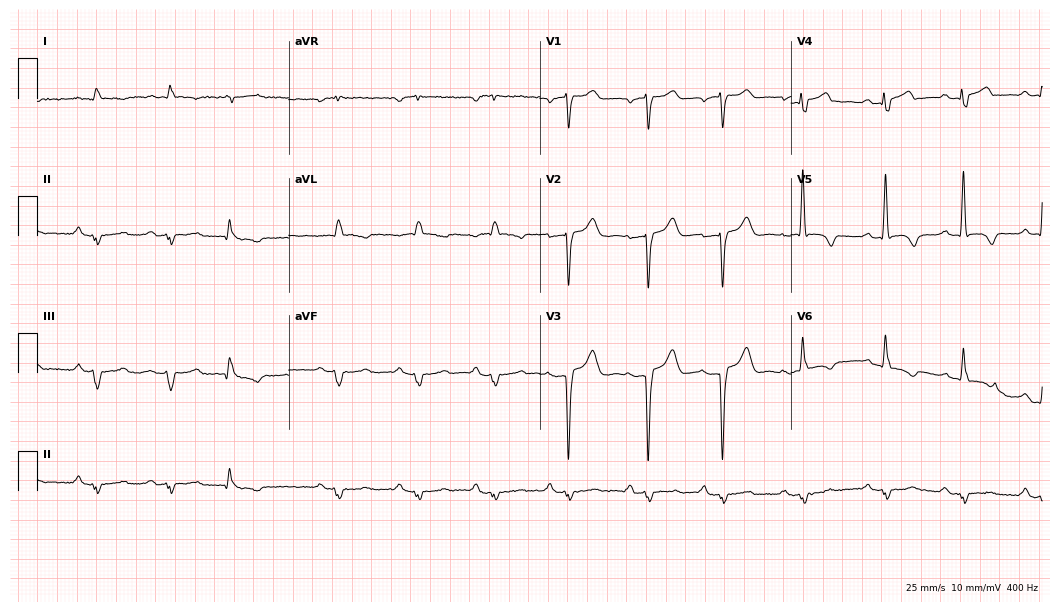
ECG (10.2-second recording at 400 Hz) — a 69-year-old male patient. Screened for six findings — first-degree AV block, right bundle branch block (RBBB), left bundle branch block (LBBB), sinus bradycardia, atrial fibrillation (AF), sinus tachycardia — none is recorded. Other findings, if any, are not listed.